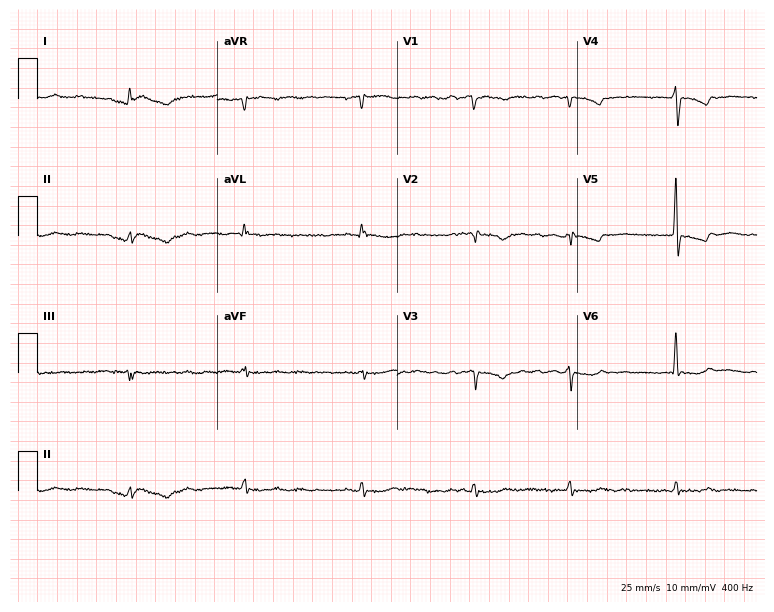
Resting 12-lead electrocardiogram (7.3-second recording at 400 Hz). Patient: a 79-year-old female. None of these six findings is recorded: first-degree AV block, right bundle branch block (RBBB), left bundle branch block (LBBB), sinus bradycardia, atrial fibrillation (AF), sinus tachycardia.